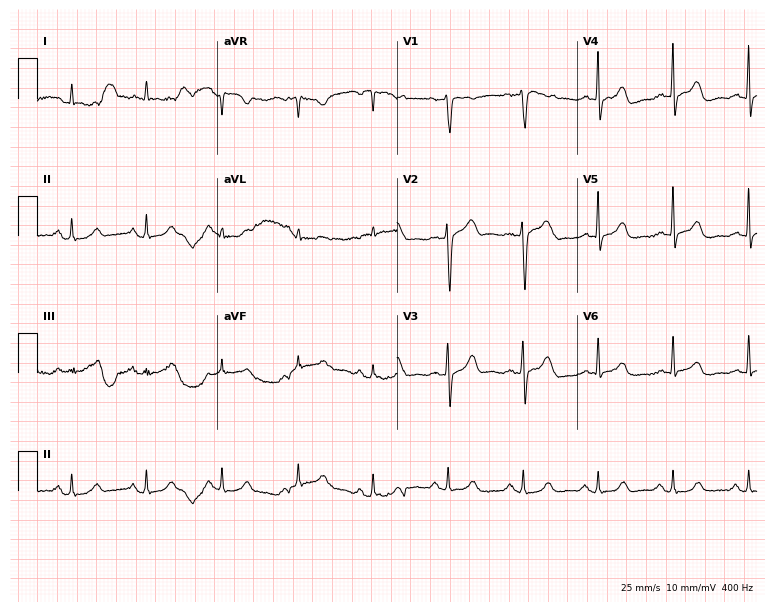
Electrocardiogram (7.3-second recording at 400 Hz), a 66-year-old female patient. Overall reading on record: normal ECG.